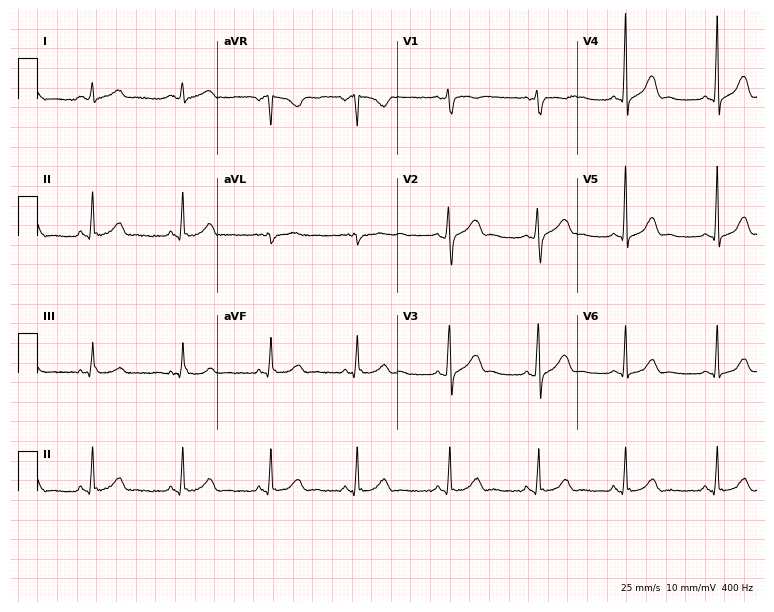
Resting 12-lead electrocardiogram. Patient: a 25-year-old woman. Read as a normal ECG.